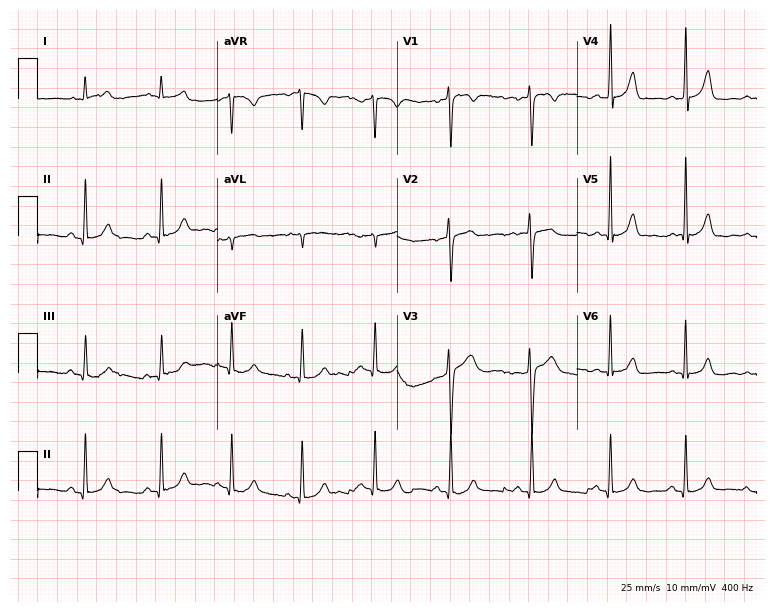
ECG (7.3-second recording at 400 Hz) — a female patient, 28 years old. Labelled as a normal ECG.